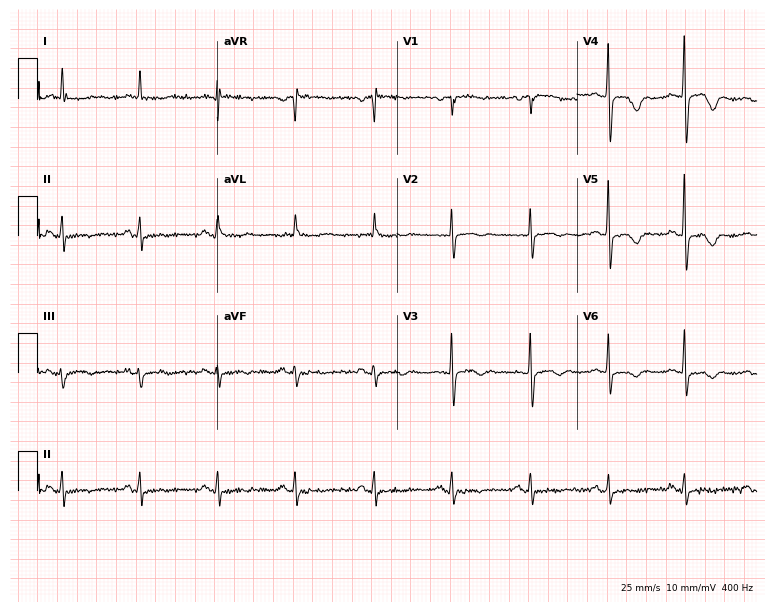
Electrocardiogram (7.3-second recording at 400 Hz), a 70-year-old female patient. Of the six screened findings (first-degree AV block, right bundle branch block, left bundle branch block, sinus bradycardia, atrial fibrillation, sinus tachycardia), none is recorded.